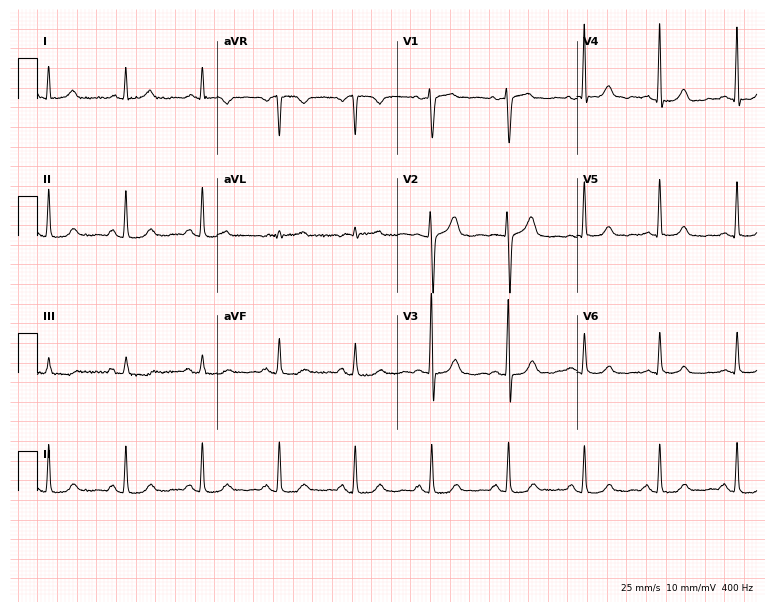
ECG — a 51-year-old female. Labelled as a normal ECG.